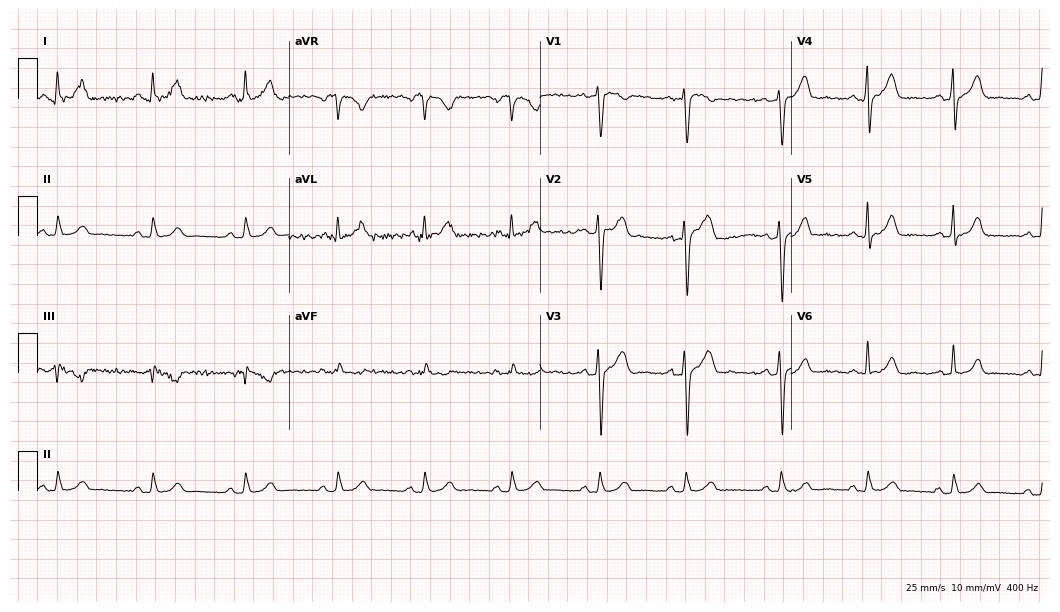
Electrocardiogram (10.2-second recording at 400 Hz), a 33-year-old female patient. Overall reading on record: normal ECG.